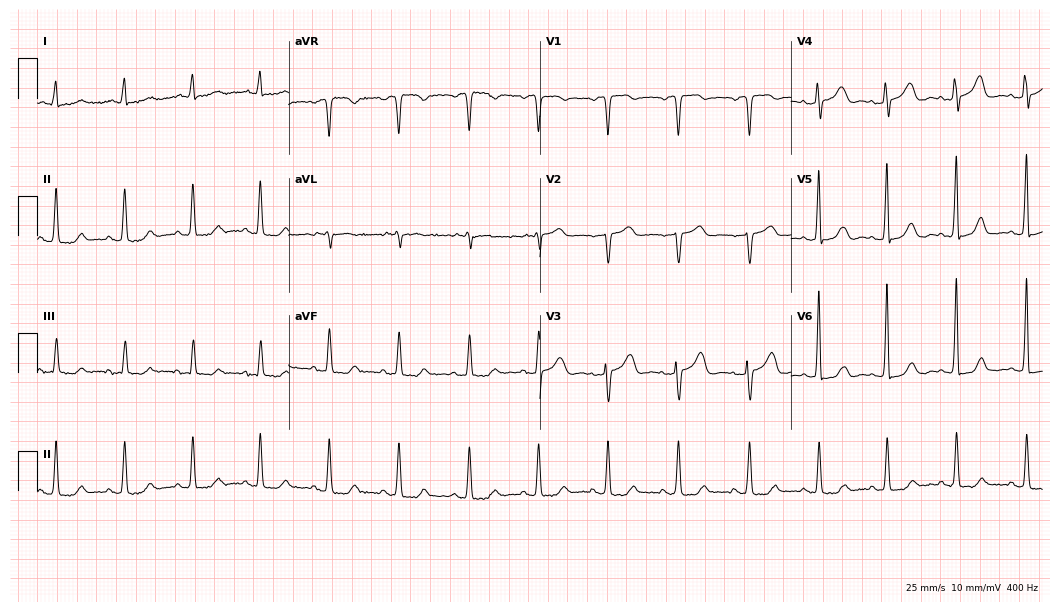
Standard 12-lead ECG recorded from an 80-year-old female. Read as a normal ECG.